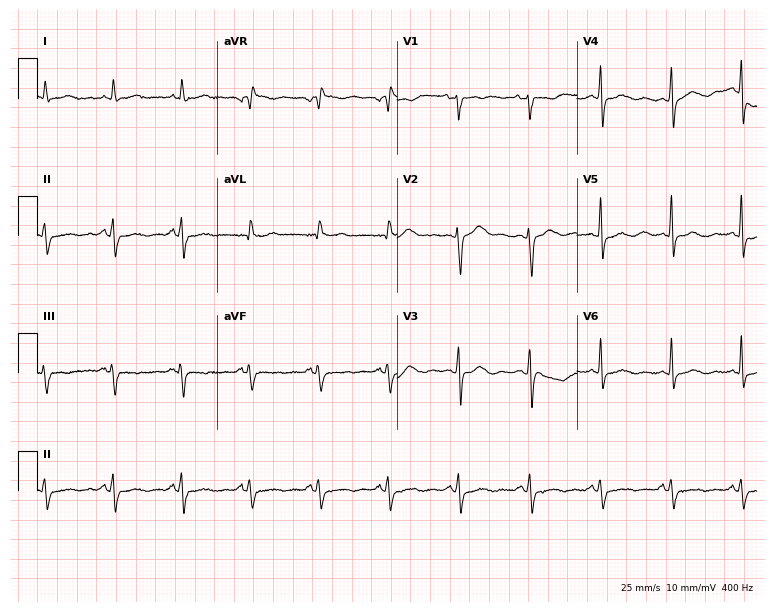
Electrocardiogram, a 73-year-old man. Of the six screened findings (first-degree AV block, right bundle branch block, left bundle branch block, sinus bradycardia, atrial fibrillation, sinus tachycardia), none is recorded.